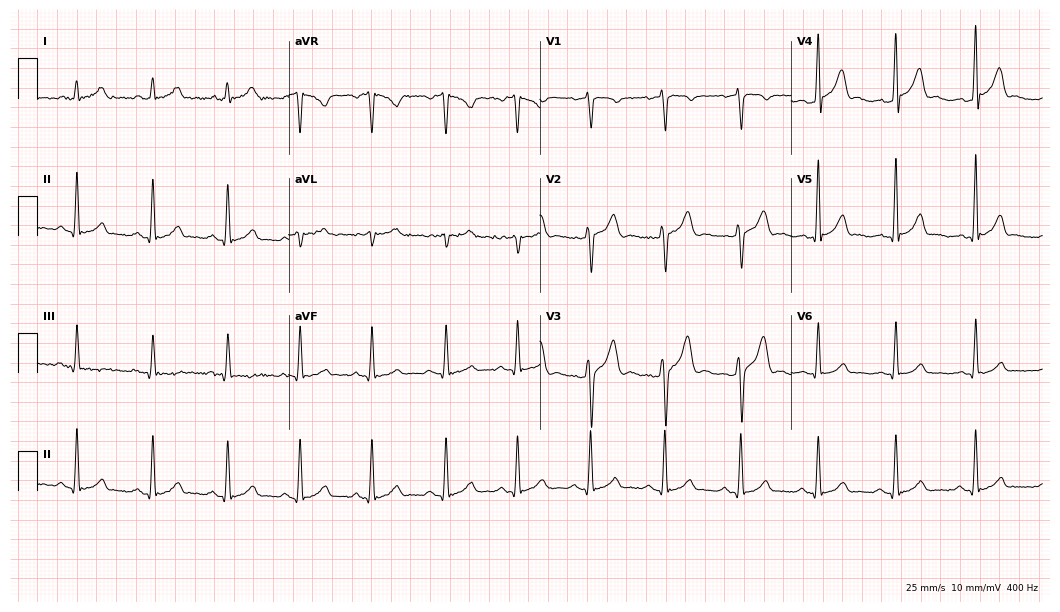
12-lead ECG (10.2-second recording at 400 Hz) from a 30-year-old male. Labelled as a normal ECG.